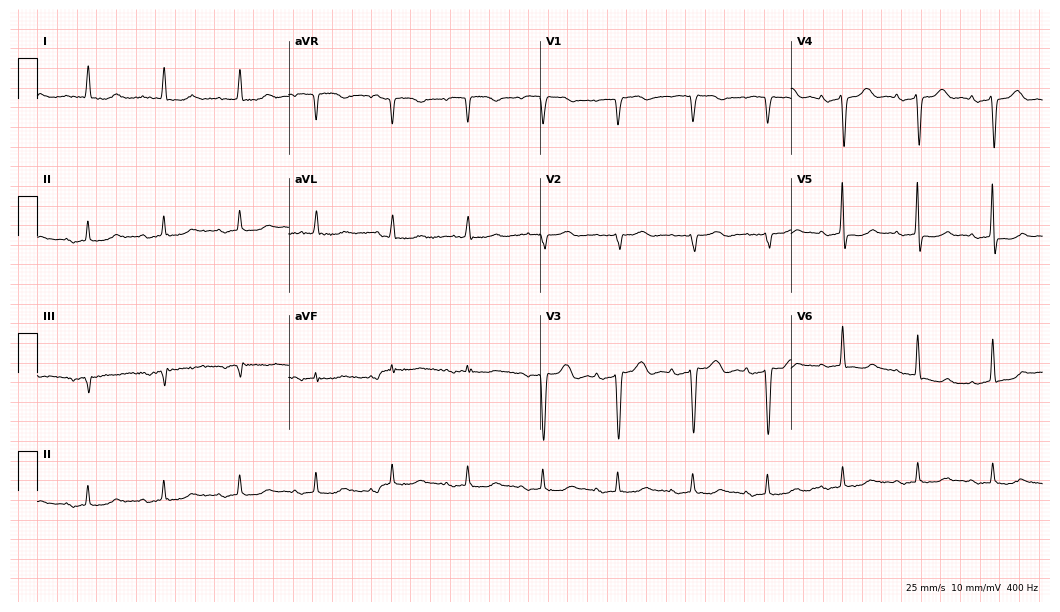
Standard 12-lead ECG recorded from a male, 83 years old. None of these six findings is recorded: first-degree AV block, right bundle branch block, left bundle branch block, sinus bradycardia, atrial fibrillation, sinus tachycardia.